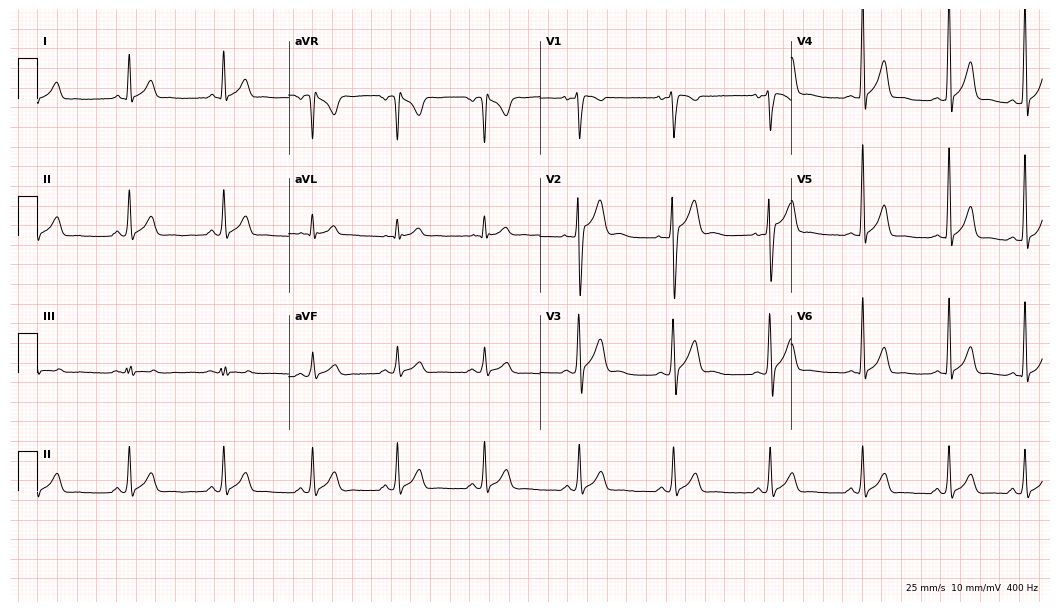
Resting 12-lead electrocardiogram. Patient: a 24-year-old male. Read as a normal ECG.